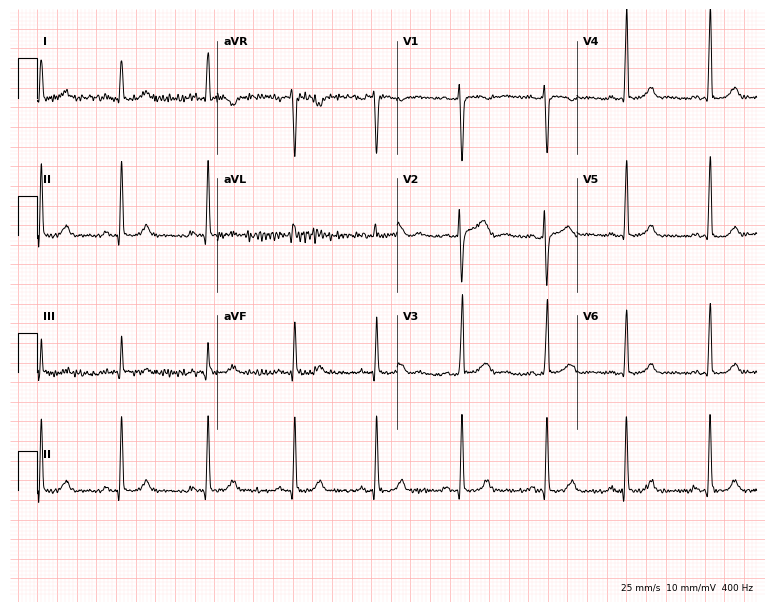
Standard 12-lead ECG recorded from a female patient, 25 years old (7.3-second recording at 400 Hz). None of these six findings is recorded: first-degree AV block, right bundle branch block, left bundle branch block, sinus bradycardia, atrial fibrillation, sinus tachycardia. Other findings, if any, are not listed.